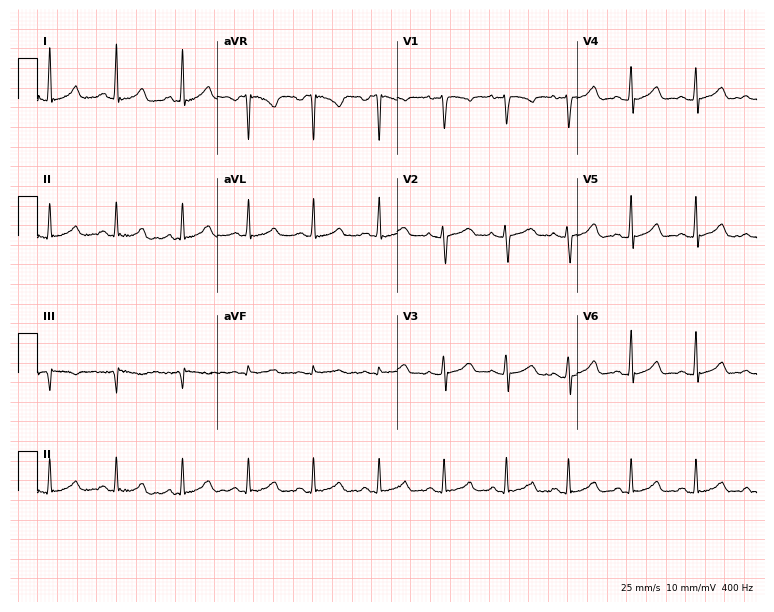
Resting 12-lead electrocardiogram. Patient: a 24-year-old woman. Read as a normal ECG.